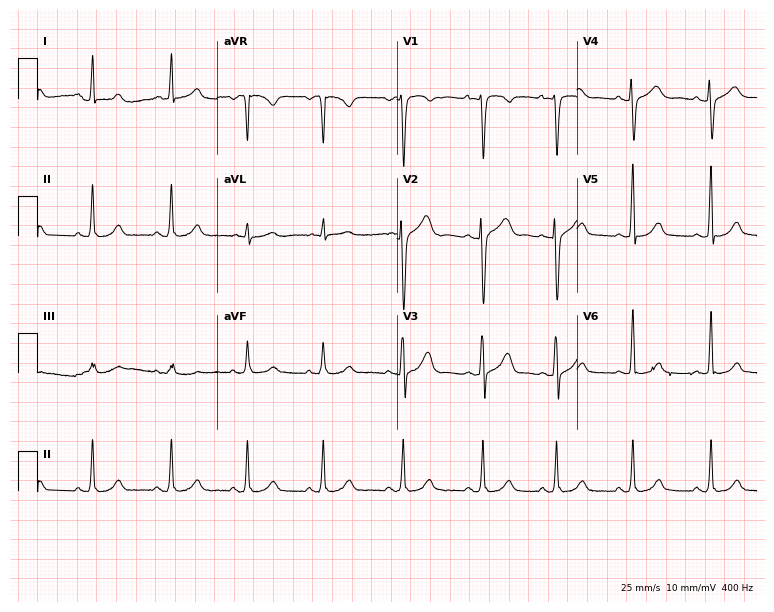
Resting 12-lead electrocardiogram. Patient: a female, 23 years old. None of these six findings is recorded: first-degree AV block, right bundle branch block, left bundle branch block, sinus bradycardia, atrial fibrillation, sinus tachycardia. Only these six findings were labelled.